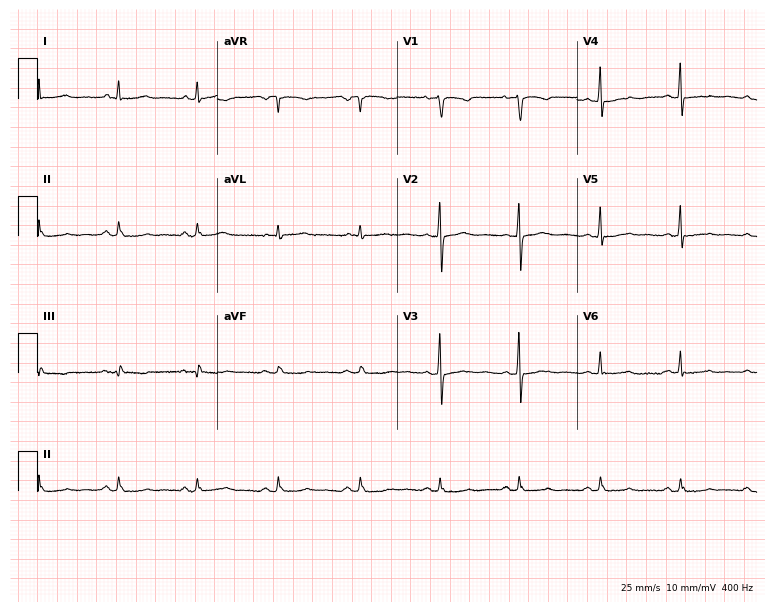
Resting 12-lead electrocardiogram (7.3-second recording at 400 Hz). Patient: a woman, 55 years old. None of these six findings is recorded: first-degree AV block, right bundle branch block, left bundle branch block, sinus bradycardia, atrial fibrillation, sinus tachycardia. Other findings, if any, are not listed.